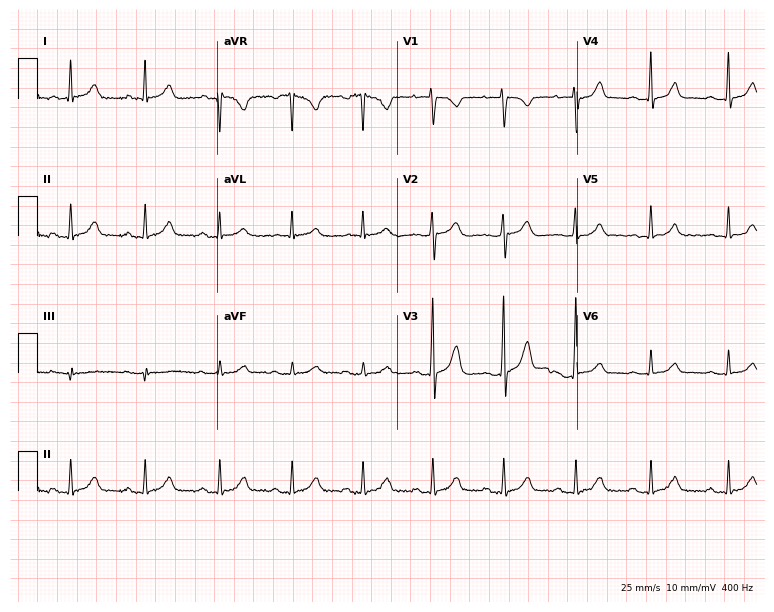
12-lead ECG from a female, 56 years old. Shows first-degree AV block.